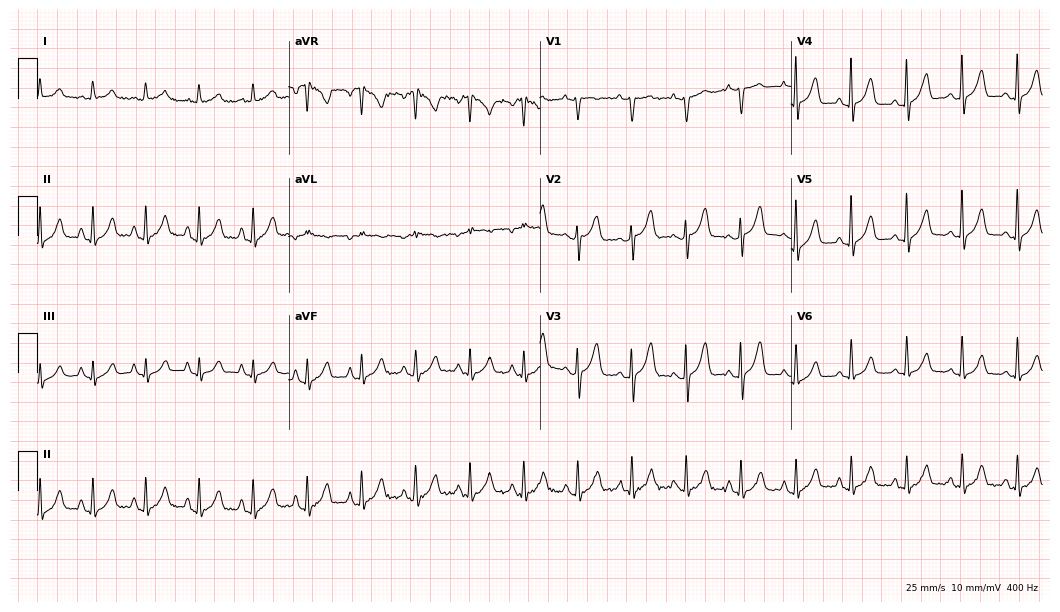
12-lead ECG (10.2-second recording at 400 Hz) from a 79-year-old woman. Findings include sinus tachycardia (a sinus rate of 100 beats per minute or more).